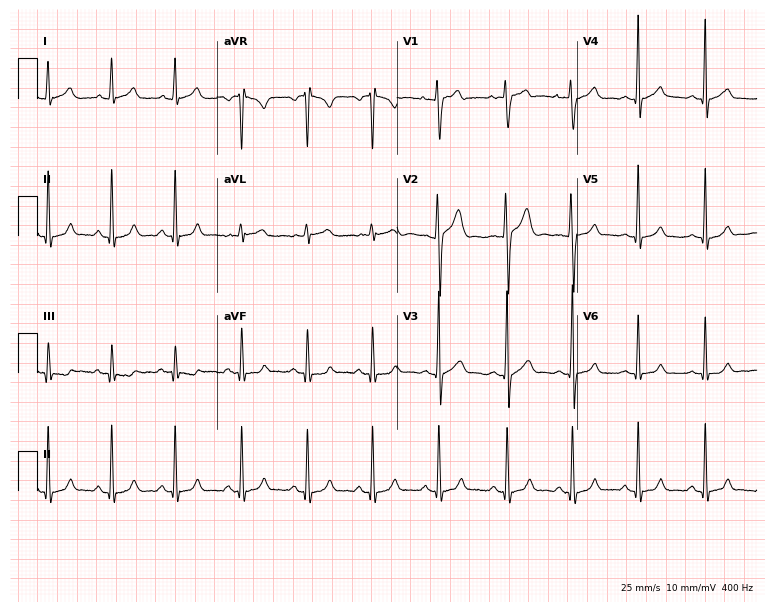
ECG (7.3-second recording at 400 Hz) — a male, 23 years old. Labelled as a normal ECG.